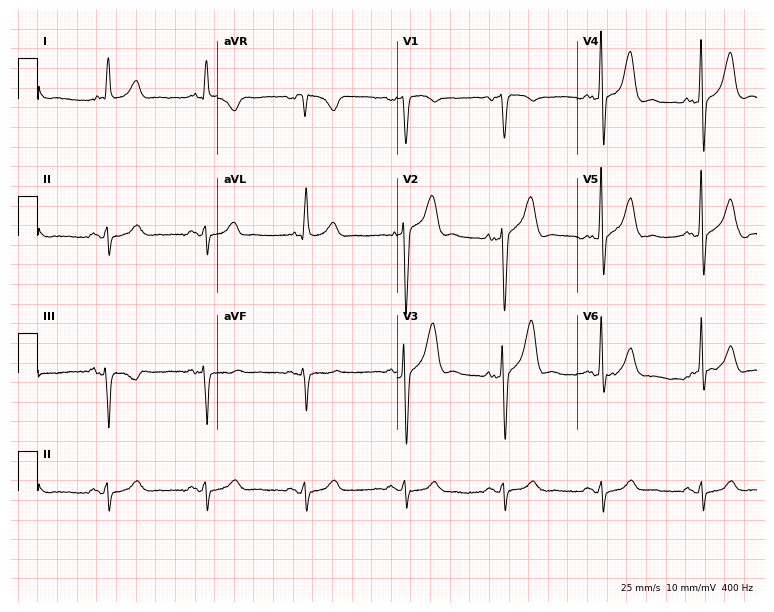
Resting 12-lead electrocardiogram. Patient: a man, 79 years old. None of these six findings is recorded: first-degree AV block, right bundle branch block, left bundle branch block, sinus bradycardia, atrial fibrillation, sinus tachycardia. Only these six findings were labelled.